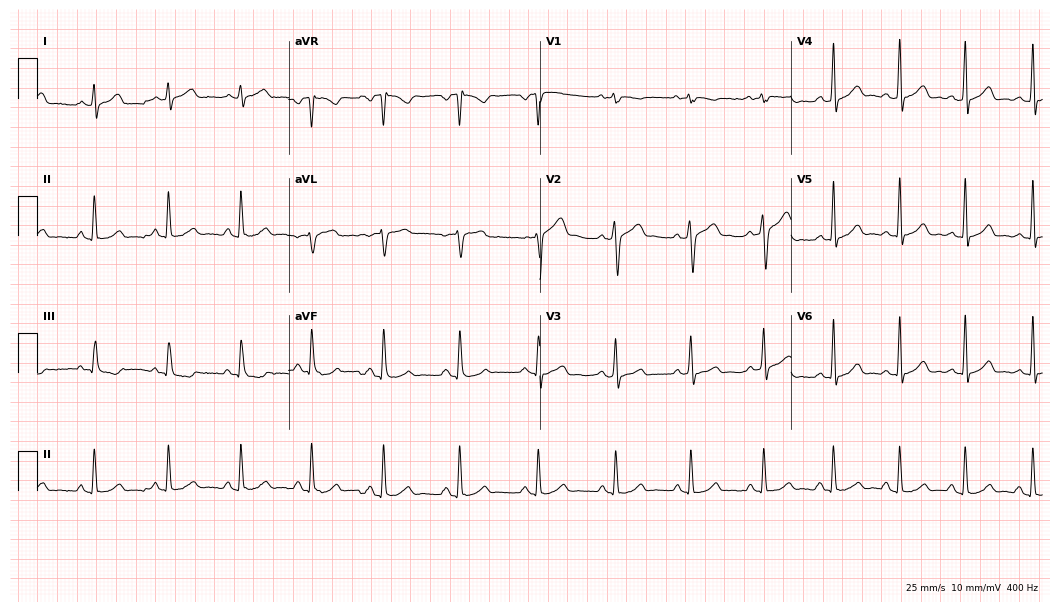
ECG (10.2-second recording at 400 Hz) — a 37-year-old man. Labelled as a normal ECG.